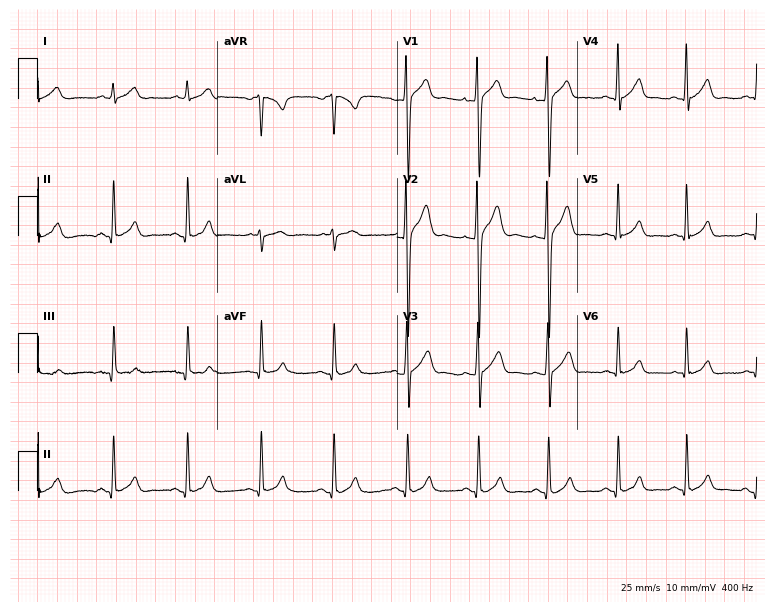
Electrocardiogram, a 21-year-old man. Overall reading on record: normal ECG.